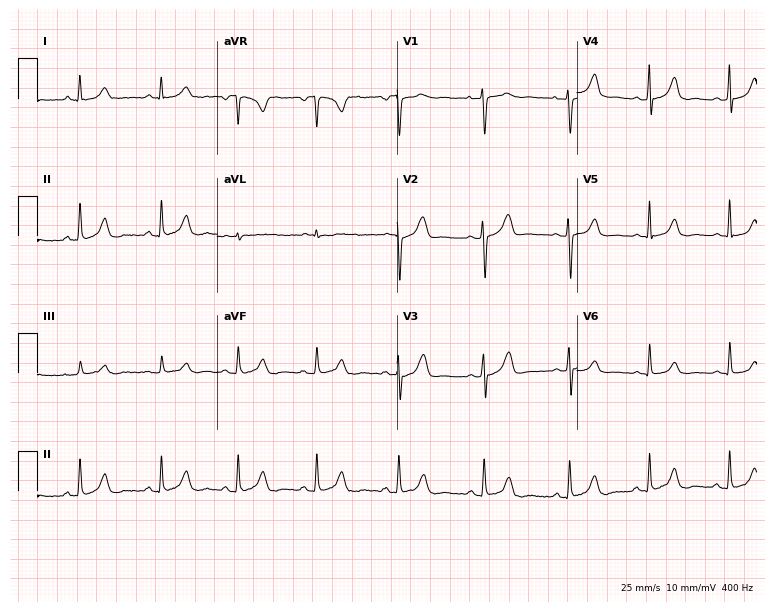
12-lead ECG (7.3-second recording at 400 Hz) from a woman, 36 years old. Screened for six findings — first-degree AV block, right bundle branch block, left bundle branch block, sinus bradycardia, atrial fibrillation, sinus tachycardia — none is recorded. Only these six findings were labelled.